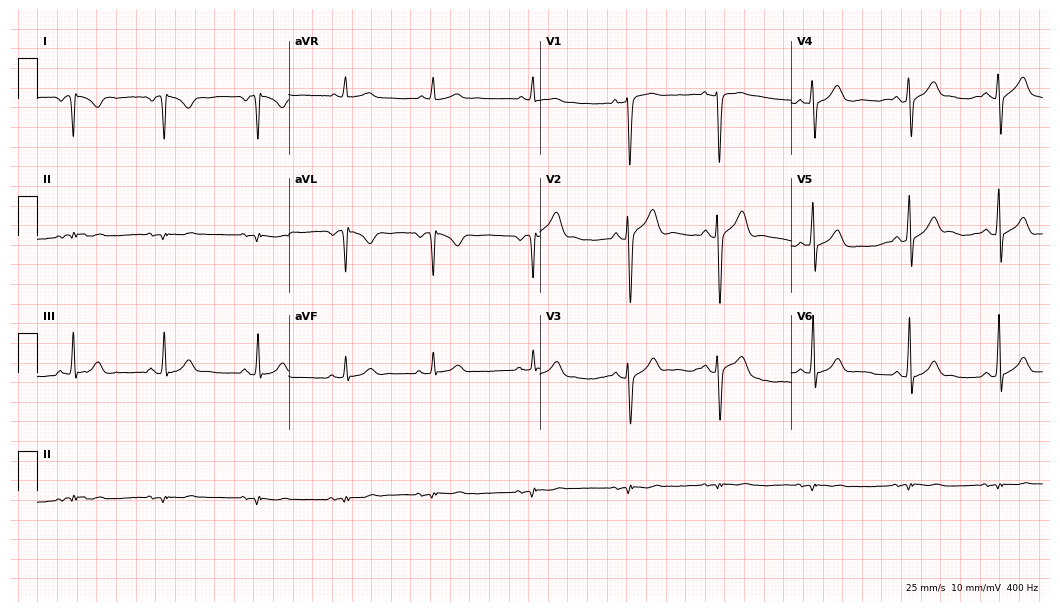
Resting 12-lead electrocardiogram. Patient: a male, 23 years old. None of these six findings is recorded: first-degree AV block, right bundle branch block, left bundle branch block, sinus bradycardia, atrial fibrillation, sinus tachycardia. Only these six findings were labelled.